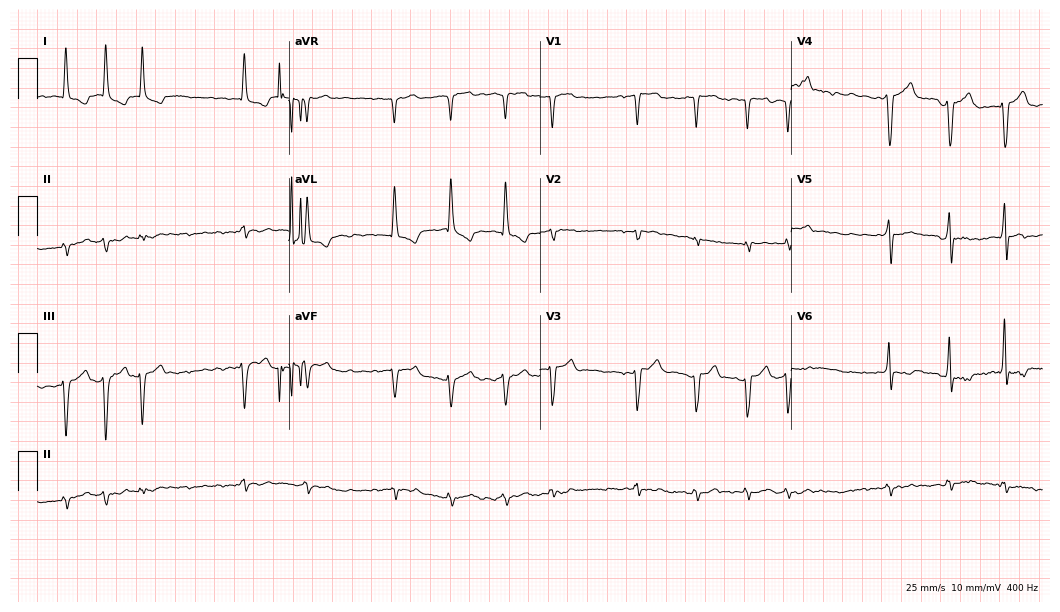
12-lead ECG from a male, 70 years old. Shows atrial fibrillation (AF).